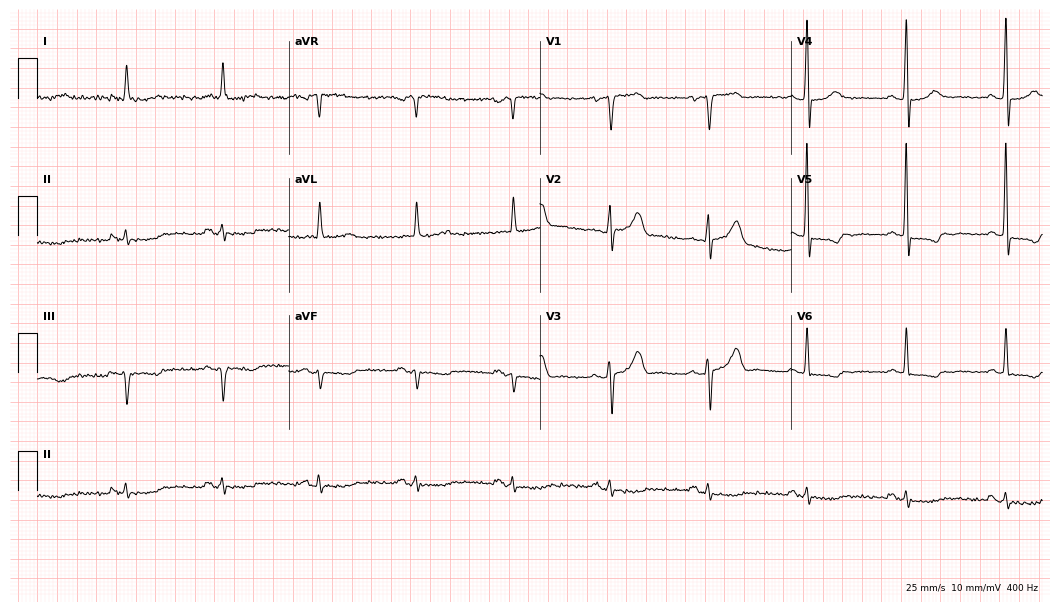
Resting 12-lead electrocardiogram (10.2-second recording at 400 Hz). Patient: an 85-year-old male. None of these six findings is recorded: first-degree AV block, right bundle branch block, left bundle branch block, sinus bradycardia, atrial fibrillation, sinus tachycardia.